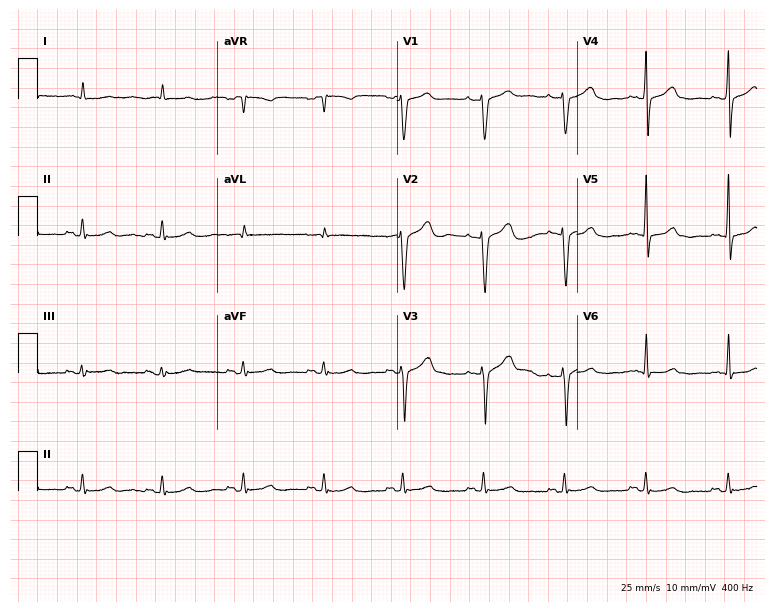
Electrocardiogram (7.3-second recording at 400 Hz), a 61-year-old male patient. Of the six screened findings (first-degree AV block, right bundle branch block, left bundle branch block, sinus bradycardia, atrial fibrillation, sinus tachycardia), none is recorded.